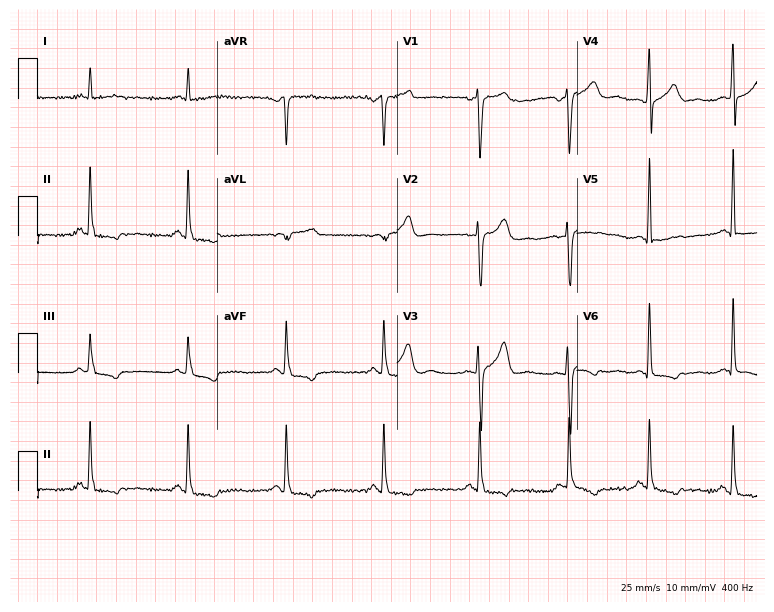
Resting 12-lead electrocardiogram (7.3-second recording at 400 Hz). Patient: a male, 51 years old. None of these six findings is recorded: first-degree AV block, right bundle branch block, left bundle branch block, sinus bradycardia, atrial fibrillation, sinus tachycardia.